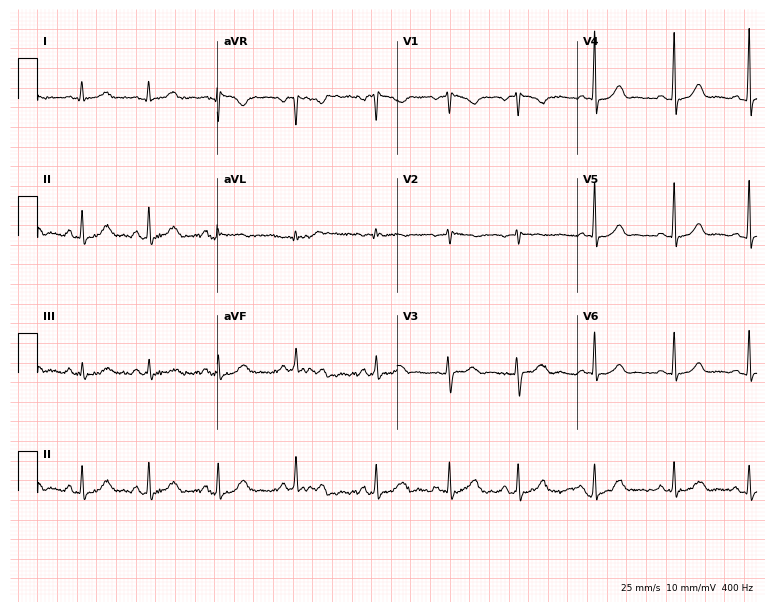
Electrocardiogram (7.3-second recording at 400 Hz), a 26-year-old female. Overall reading on record: normal ECG.